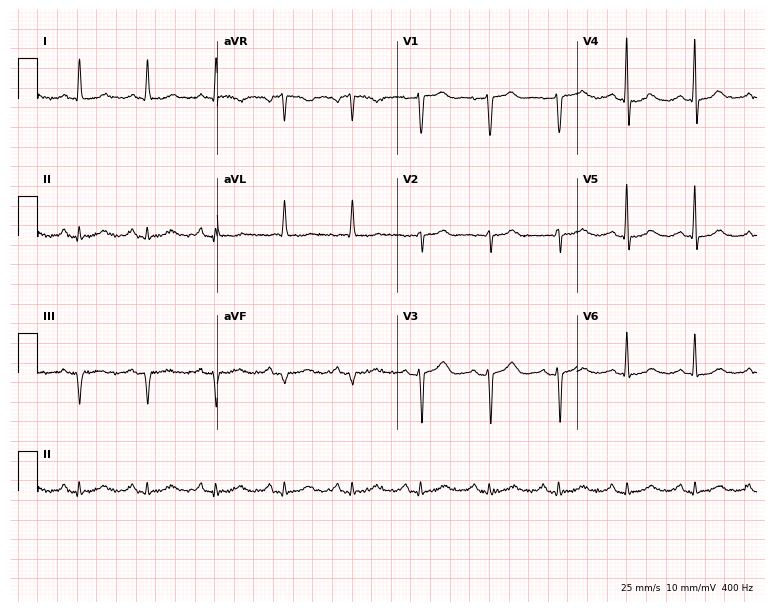
ECG (7.3-second recording at 400 Hz) — a 70-year-old female patient. Labelled as a normal ECG.